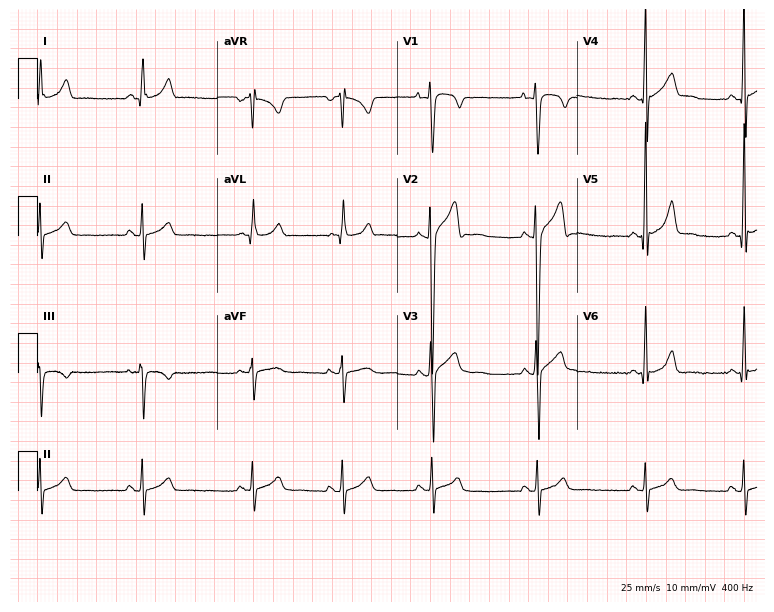
Resting 12-lead electrocardiogram. Patient: a man, 24 years old. None of these six findings is recorded: first-degree AV block, right bundle branch block, left bundle branch block, sinus bradycardia, atrial fibrillation, sinus tachycardia.